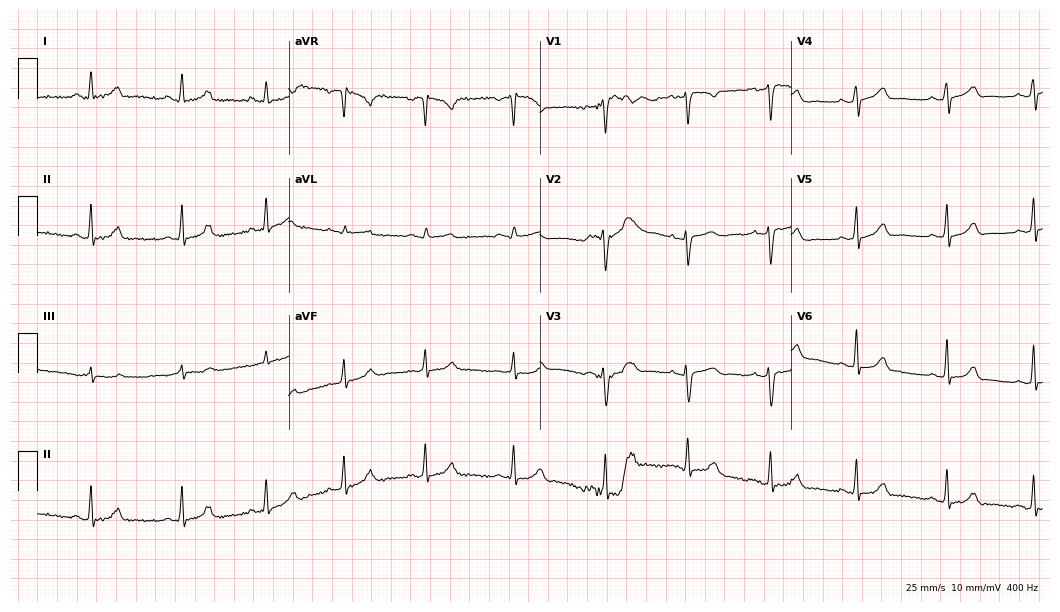
Standard 12-lead ECG recorded from a 32-year-old female. None of these six findings is recorded: first-degree AV block, right bundle branch block (RBBB), left bundle branch block (LBBB), sinus bradycardia, atrial fibrillation (AF), sinus tachycardia.